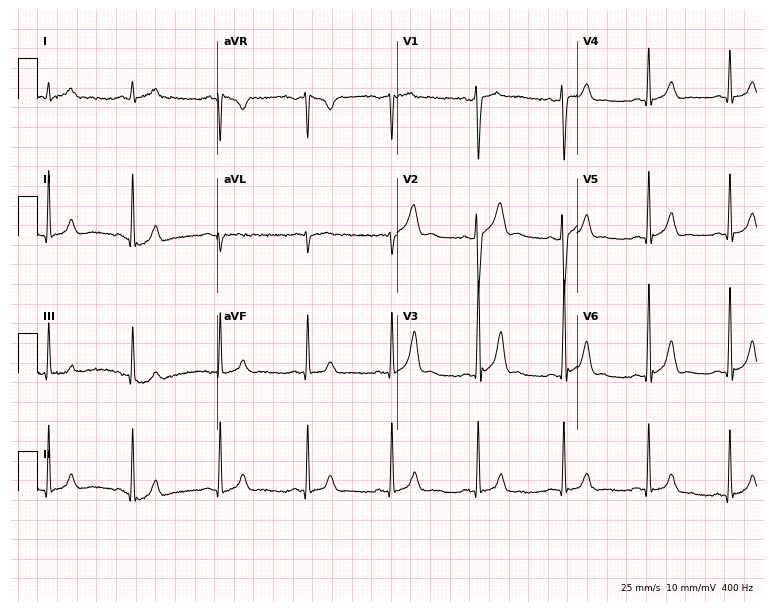
Resting 12-lead electrocardiogram (7.3-second recording at 400 Hz). Patient: a 36-year-old male. Read as a normal ECG.